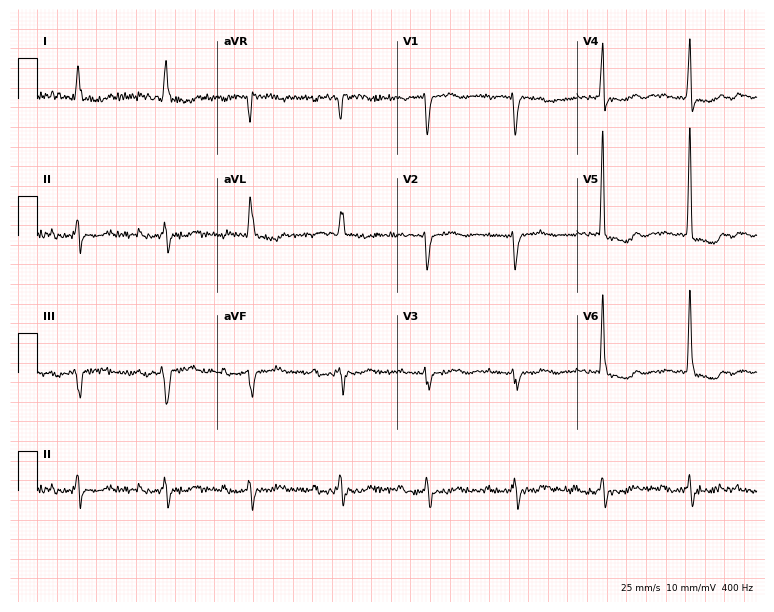
Electrocardiogram (7.3-second recording at 400 Hz), a female, 81 years old. Interpretation includes first-degree AV block.